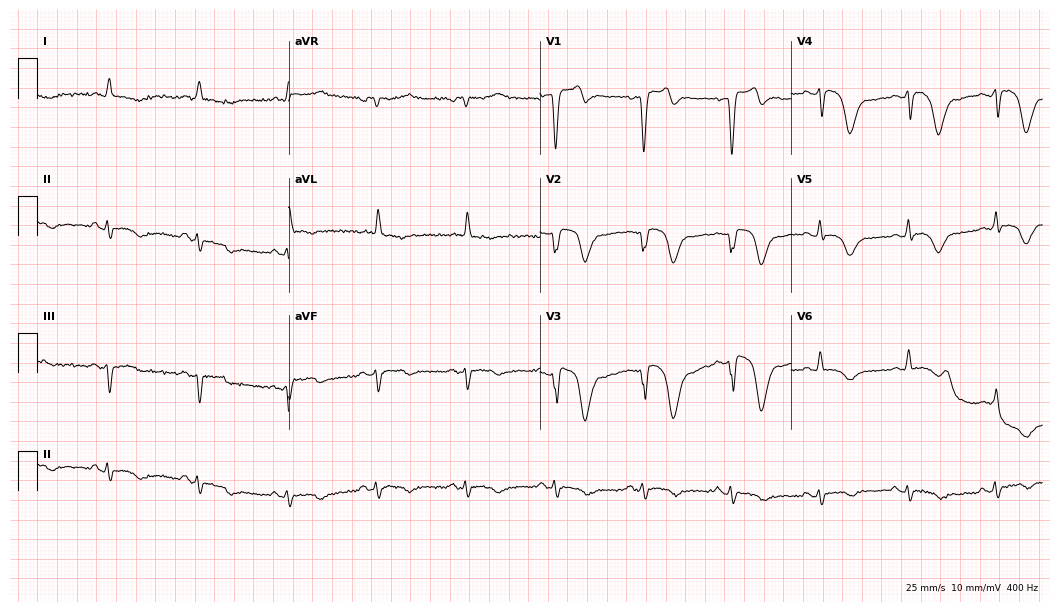
Standard 12-lead ECG recorded from a man, 78 years old (10.2-second recording at 400 Hz). None of these six findings is recorded: first-degree AV block, right bundle branch block (RBBB), left bundle branch block (LBBB), sinus bradycardia, atrial fibrillation (AF), sinus tachycardia. Other findings, if any, are not listed.